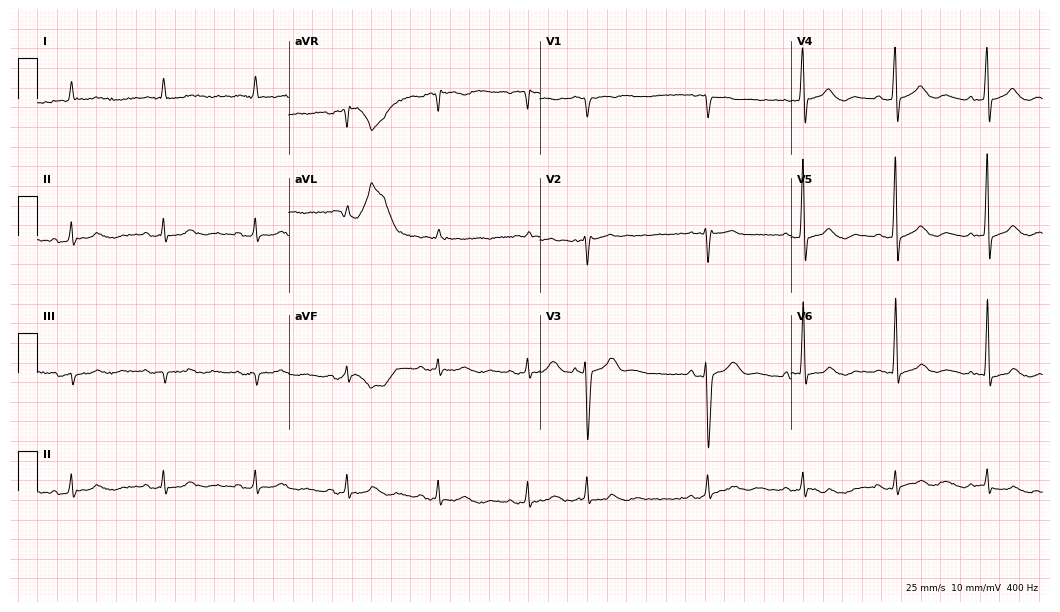
ECG — a 73-year-old male. Screened for six findings — first-degree AV block, right bundle branch block, left bundle branch block, sinus bradycardia, atrial fibrillation, sinus tachycardia — none is recorded.